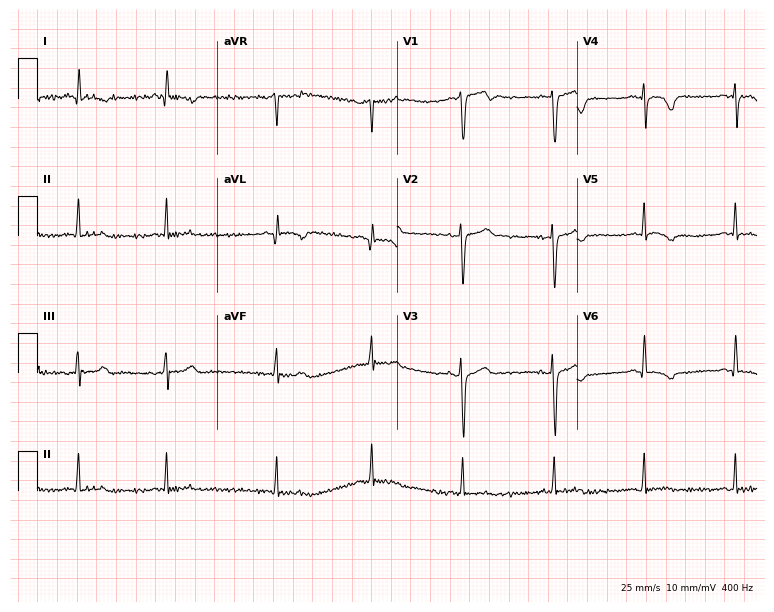
Electrocardiogram, a 56-year-old woman. Of the six screened findings (first-degree AV block, right bundle branch block (RBBB), left bundle branch block (LBBB), sinus bradycardia, atrial fibrillation (AF), sinus tachycardia), none is recorded. Other findings, if any, are not listed.